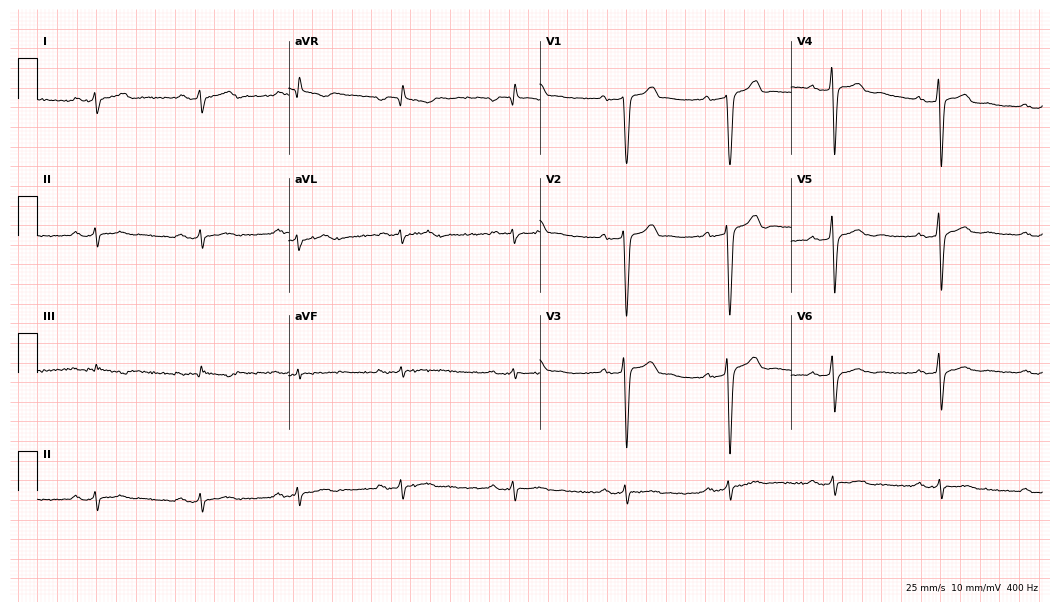
Electrocardiogram (10.2-second recording at 400 Hz), a 42-year-old male patient. Of the six screened findings (first-degree AV block, right bundle branch block, left bundle branch block, sinus bradycardia, atrial fibrillation, sinus tachycardia), none is recorded.